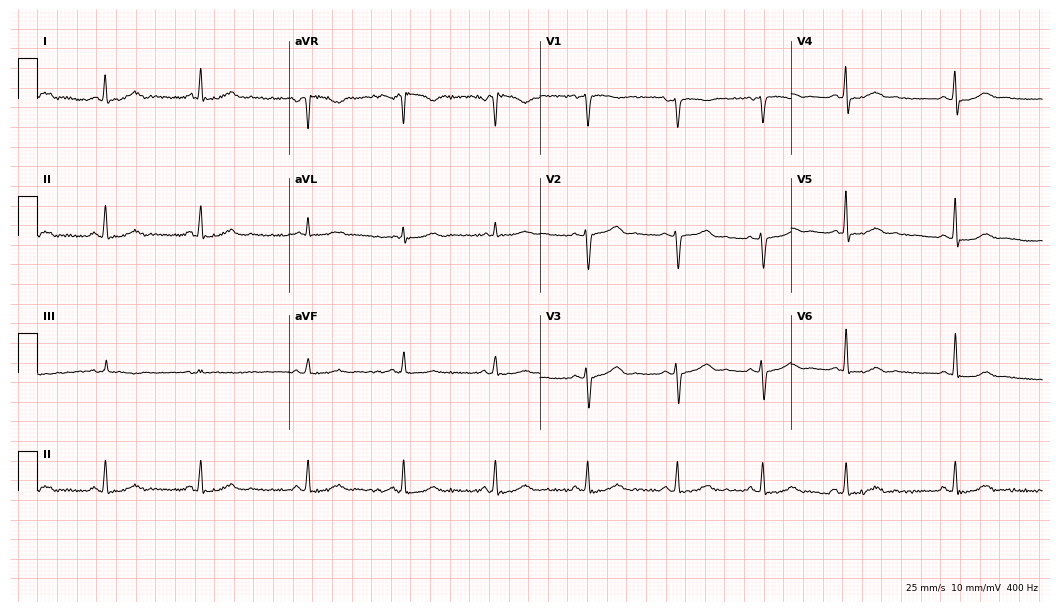
Standard 12-lead ECG recorded from a female, 36 years old. Read as a normal ECG.